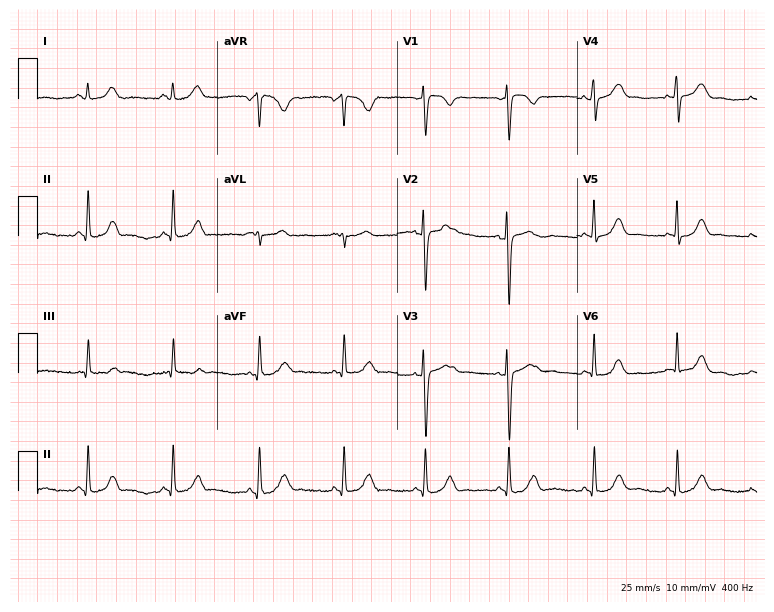
ECG — a female, 33 years old. Screened for six findings — first-degree AV block, right bundle branch block, left bundle branch block, sinus bradycardia, atrial fibrillation, sinus tachycardia — none is recorded. Other findings, if any, are not listed.